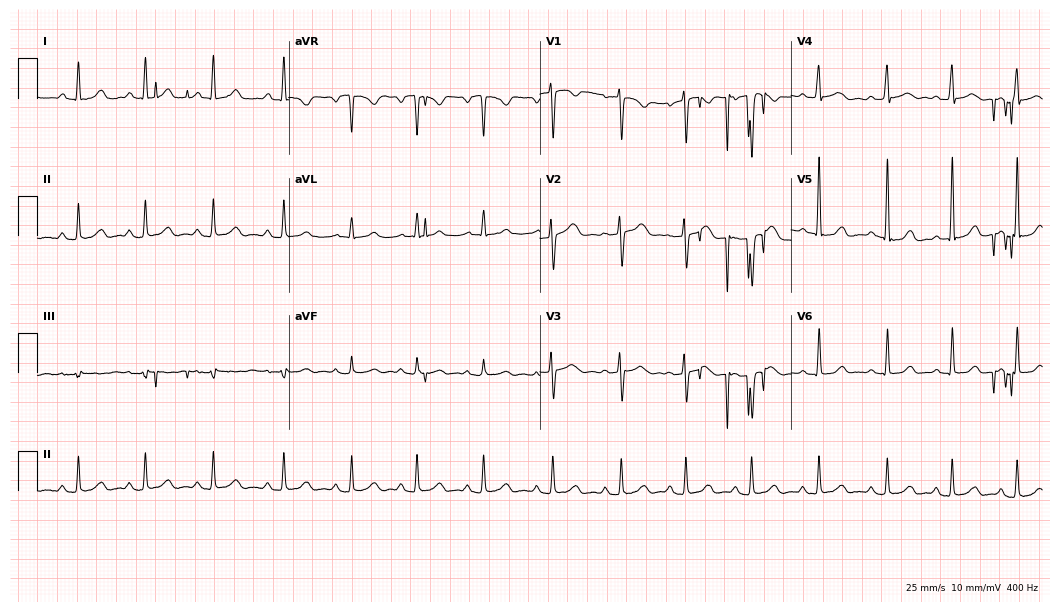
Standard 12-lead ECG recorded from a 35-year-old female (10.2-second recording at 400 Hz). None of these six findings is recorded: first-degree AV block, right bundle branch block, left bundle branch block, sinus bradycardia, atrial fibrillation, sinus tachycardia.